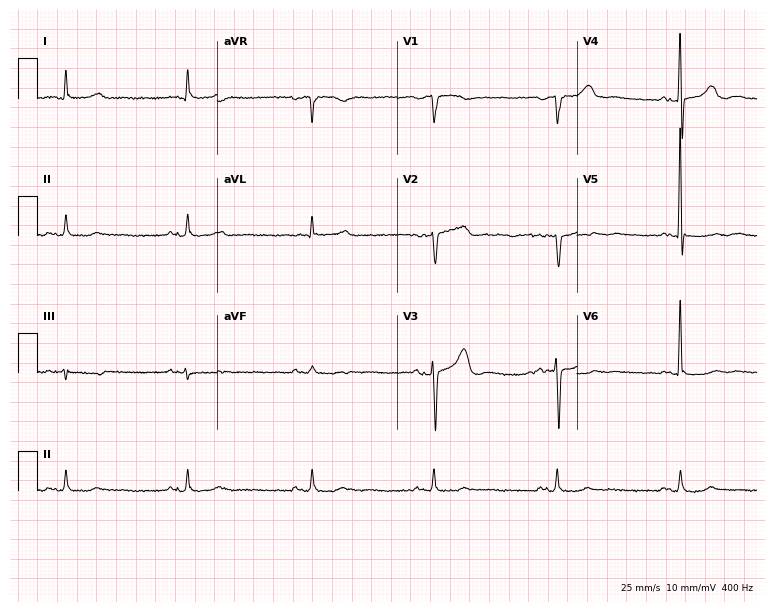
ECG (7.3-second recording at 400 Hz) — an 81-year-old male. Findings include sinus bradycardia (a sinus rate of 50 beats per minute or less).